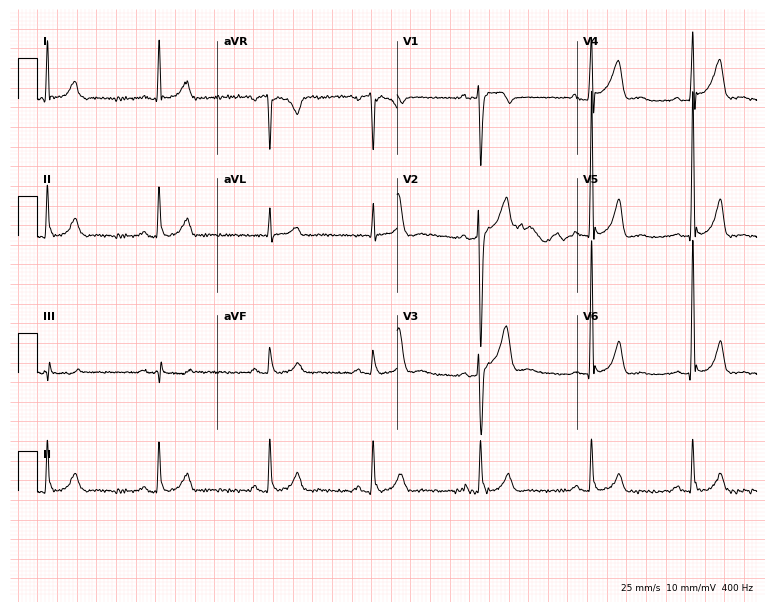
Standard 12-lead ECG recorded from a 60-year-old male patient (7.3-second recording at 400 Hz). None of these six findings is recorded: first-degree AV block, right bundle branch block (RBBB), left bundle branch block (LBBB), sinus bradycardia, atrial fibrillation (AF), sinus tachycardia. Other findings, if any, are not listed.